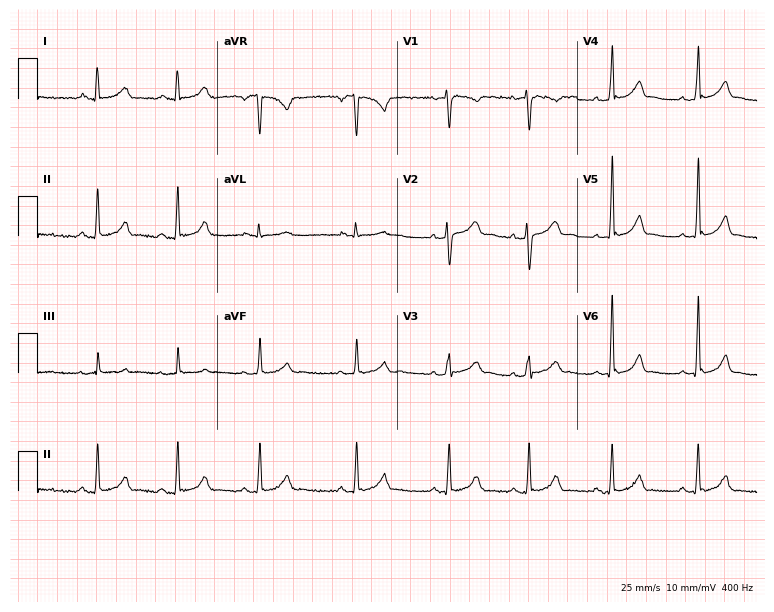
Standard 12-lead ECG recorded from a woman, 20 years old. Read as a normal ECG.